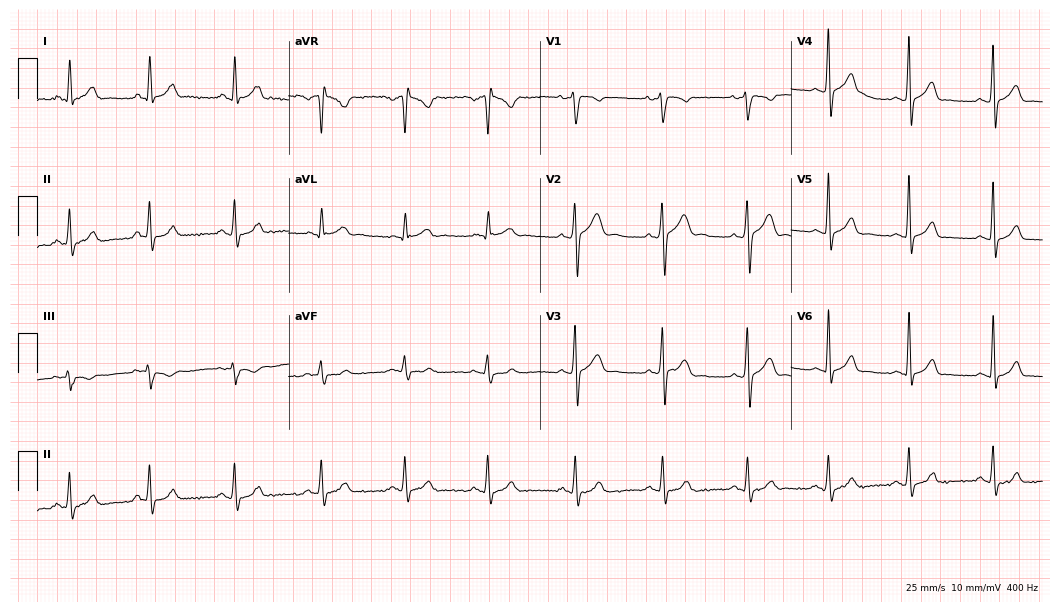
12-lead ECG from a 20-year-old male. Recorded interpretation: within normal limits.